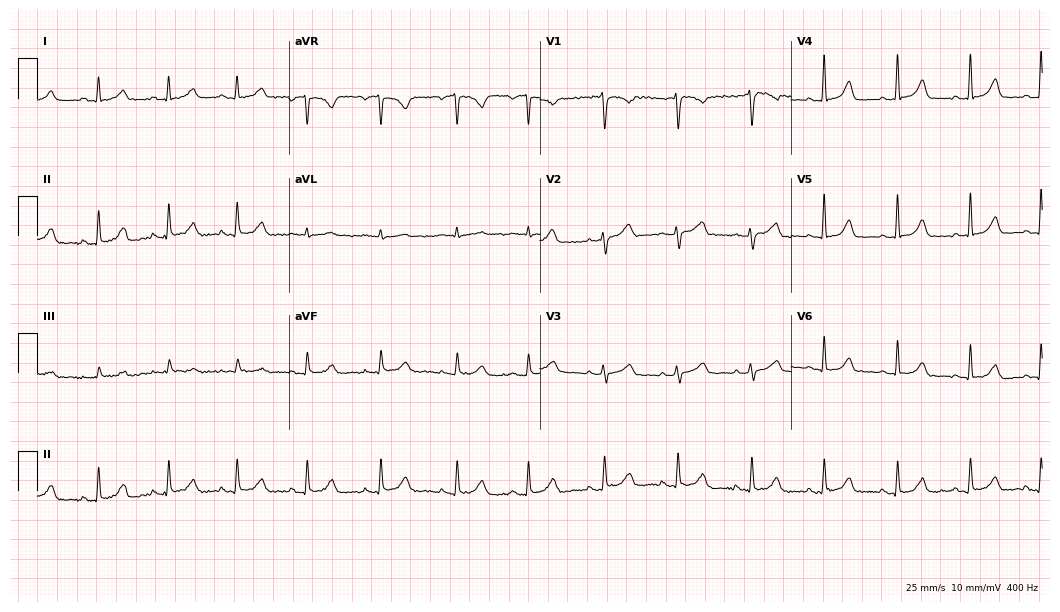
12-lead ECG (10.2-second recording at 400 Hz) from a woman, 64 years old. Labelled as a normal ECG.